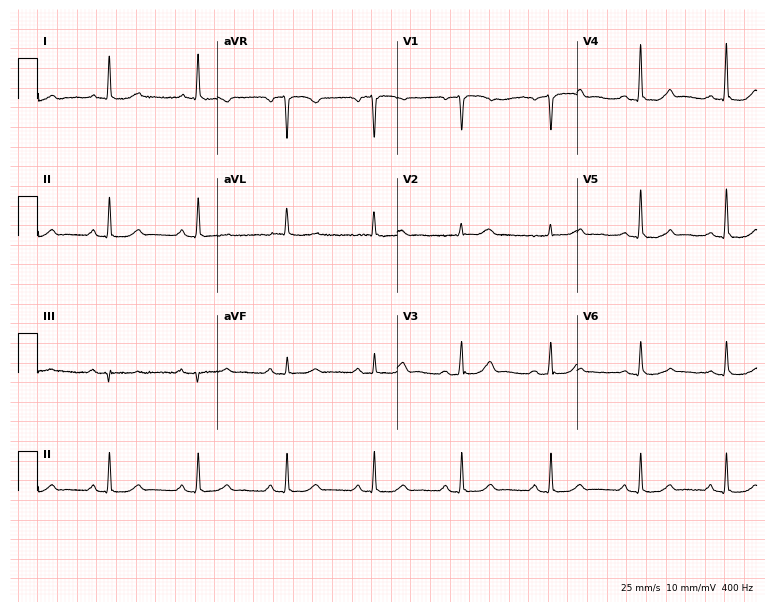
Standard 12-lead ECG recorded from a female, 59 years old (7.3-second recording at 400 Hz). Read as a normal ECG.